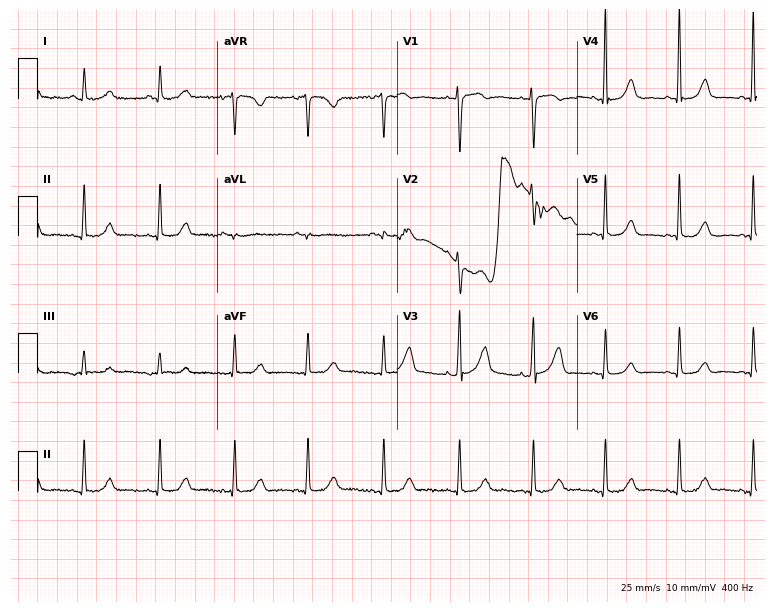
Electrocardiogram (7.3-second recording at 400 Hz), a female, 45 years old. Of the six screened findings (first-degree AV block, right bundle branch block (RBBB), left bundle branch block (LBBB), sinus bradycardia, atrial fibrillation (AF), sinus tachycardia), none is recorded. Findings outside these six are not listed.